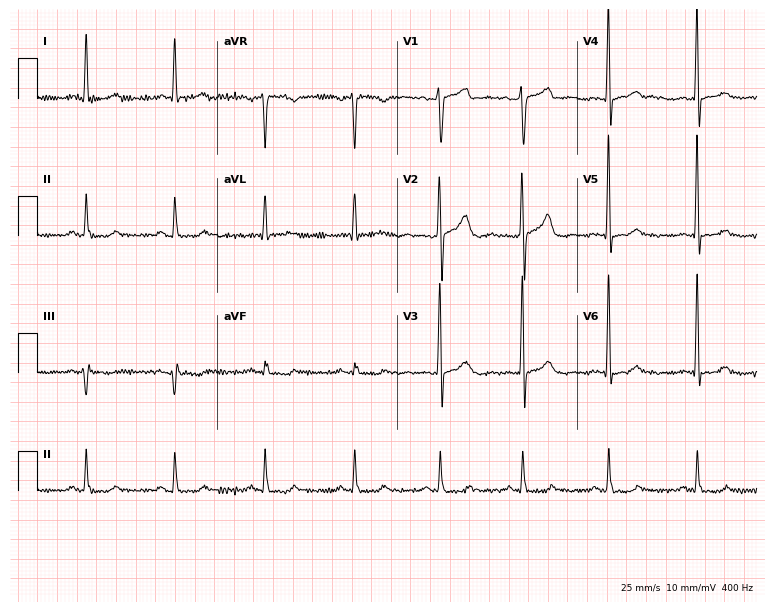
12-lead ECG from a male patient, 27 years old. Screened for six findings — first-degree AV block, right bundle branch block, left bundle branch block, sinus bradycardia, atrial fibrillation, sinus tachycardia — none is recorded.